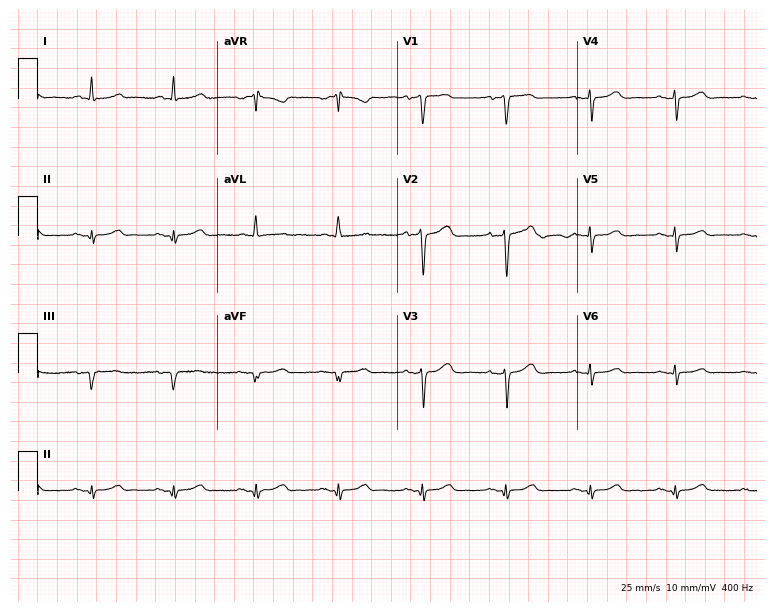
Resting 12-lead electrocardiogram (7.3-second recording at 400 Hz). Patient: a 71-year-old female. None of these six findings is recorded: first-degree AV block, right bundle branch block, left bundle branch block, sinus bradycardia, atrial fibrillation, sinus tachycardia.